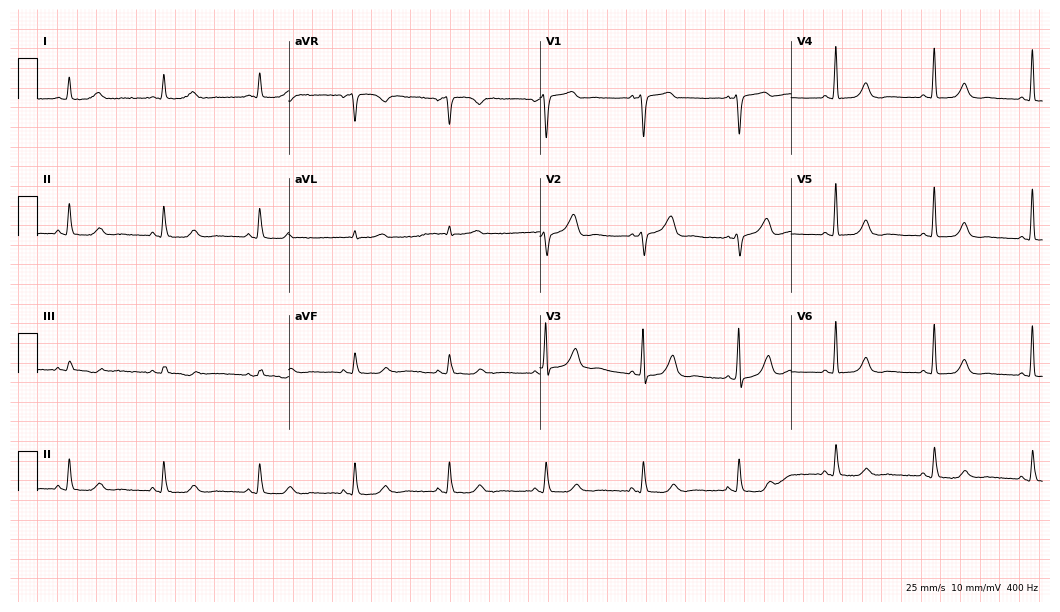
Electrocardiogram (10.2-second recording at 400 Hz), a woman, 64 years old. Overall reading on record: normal ECG.